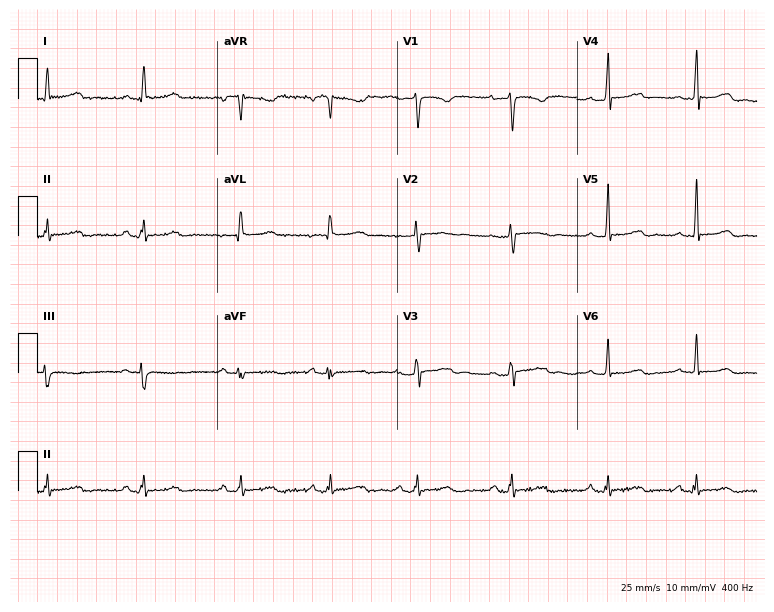
12-lead ECG (7.3-second recording at 400 Hz) from a female, 49 years old. Labelled as a normal ECG.